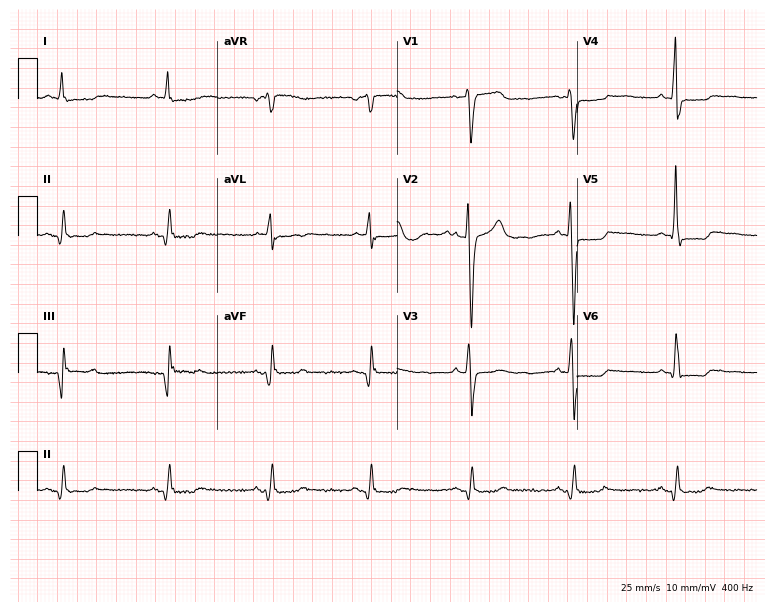
ECG — a male, 78 years old. Screened for six findings — first-degree AV block, right bundle branch block, left bundle branch block, sinus bradycardia, atrial fibrillation, sinus tachycardia — none is recorded.